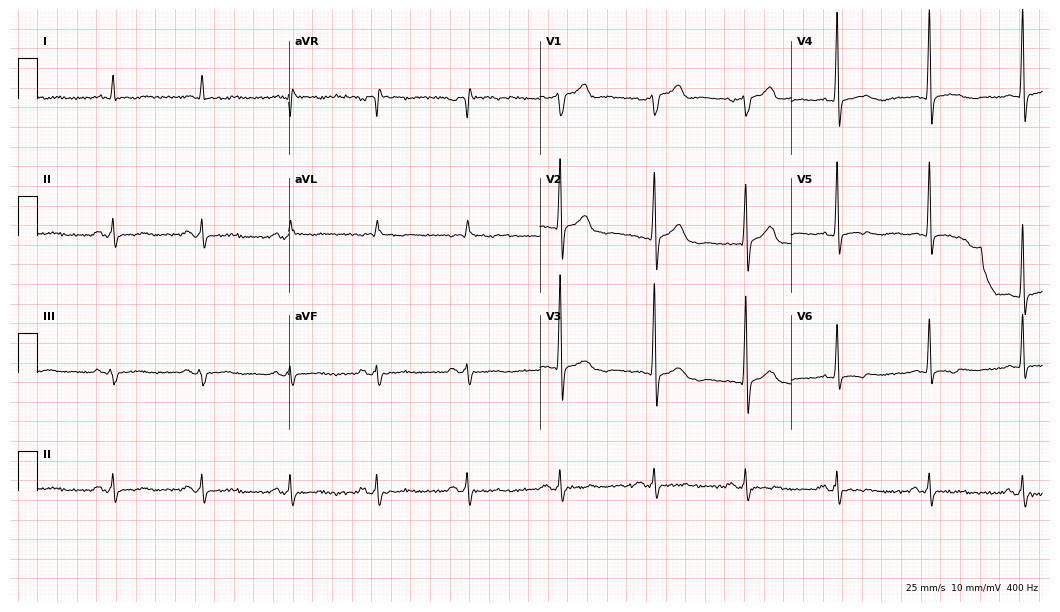
Electrocardiogram (10.2-second recording at 400 Hz), a 70-year-old male patient. Of the six screened findings (first-degree AV block, right bundle branch block (RBBB), left bundle branch block (LBBB), sinus bradycardia, atrial fibrillation (AF), sinus tachycardia), none is recorded.